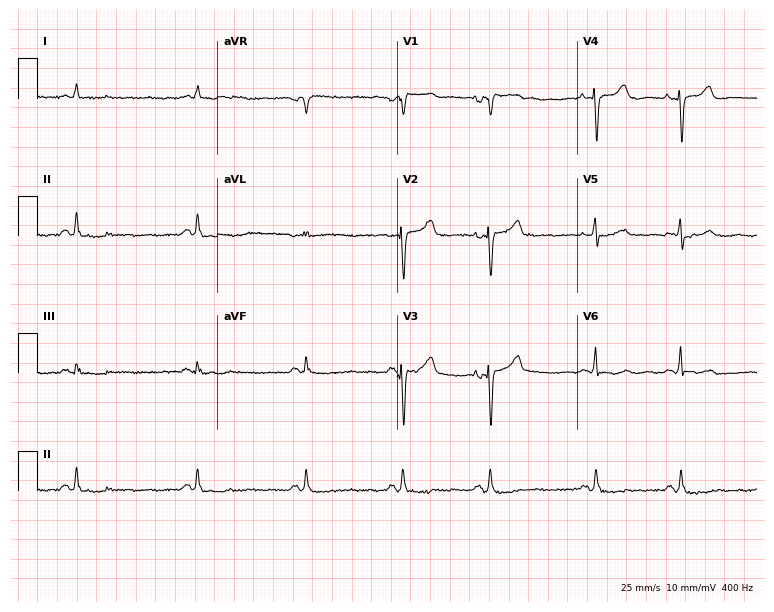
12-lead ECG from a woman, 84 years old. Labelled as a normal ECG.